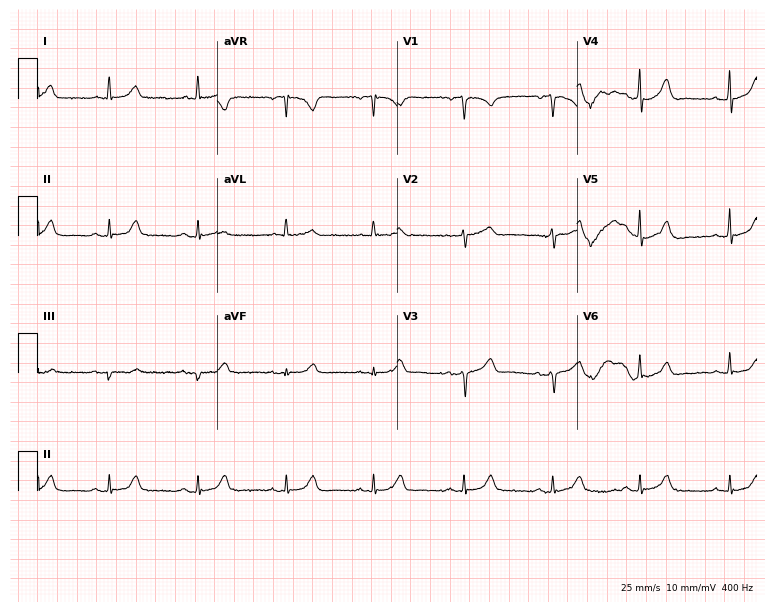
Electrocardiogram, a 56-year-old woman. Of the six screened findings (first-degree AV block, right bundle branch block, left bundle branch block, sinus bradycardia, atrial fibrillation, sinus tachycardia), none is recorded.